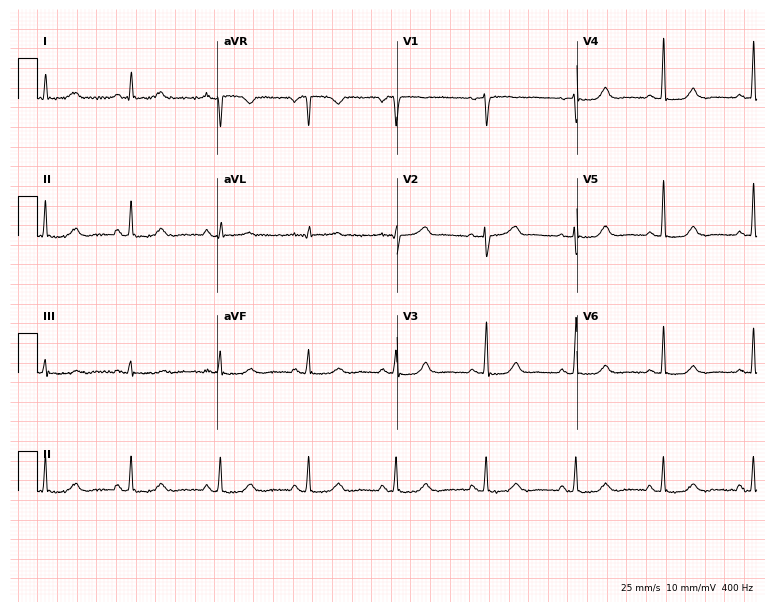
12-lead ECG (7.3-second recording at 400 Hz) from a 58-year-old female patient. Labelled as a normal ECG.